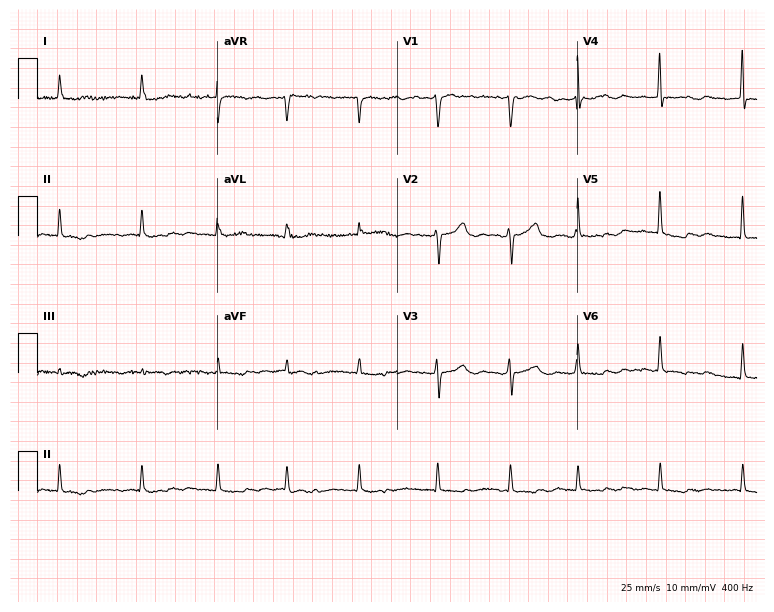
Resting 12-lead electrocardiogram (7.3-second recording at 400 Hz). Patient: a female, 68 years old. Read as a normal ECG.